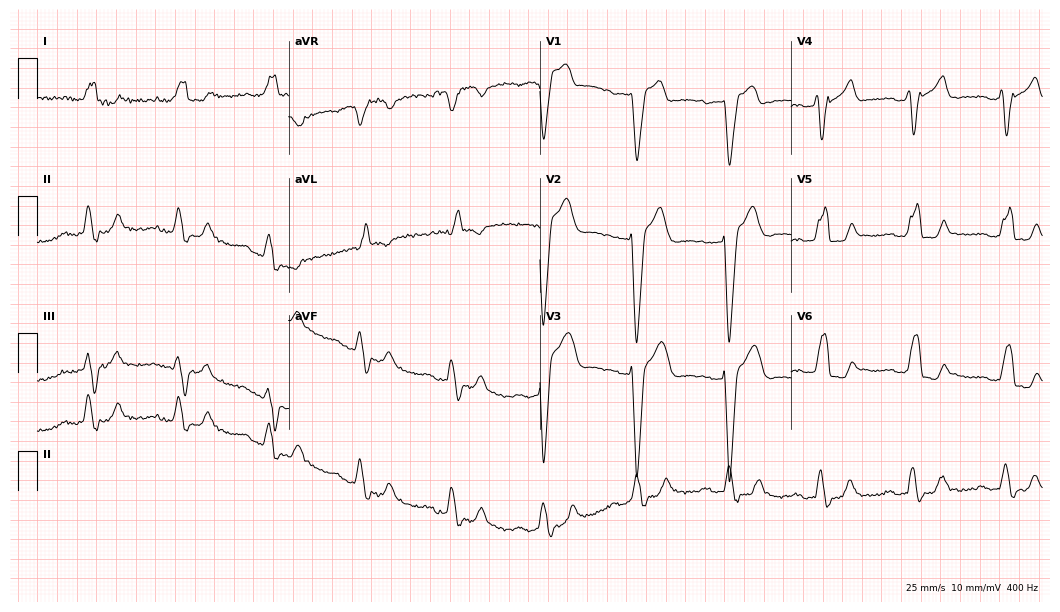
ECG — a man, 82 years old. Findings include first-degree AV block, left bundle branch block.